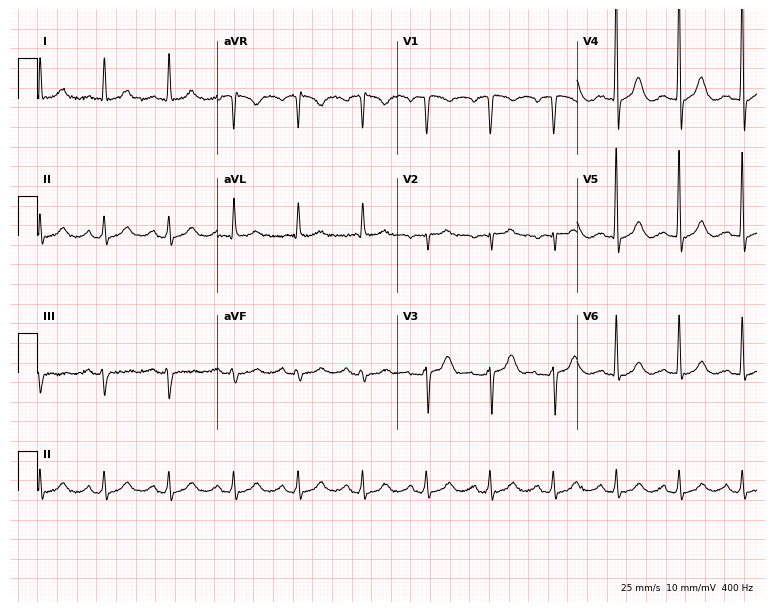
Electrocardiogram, a man, 69 years old. Overall reading on record: normal ECG.